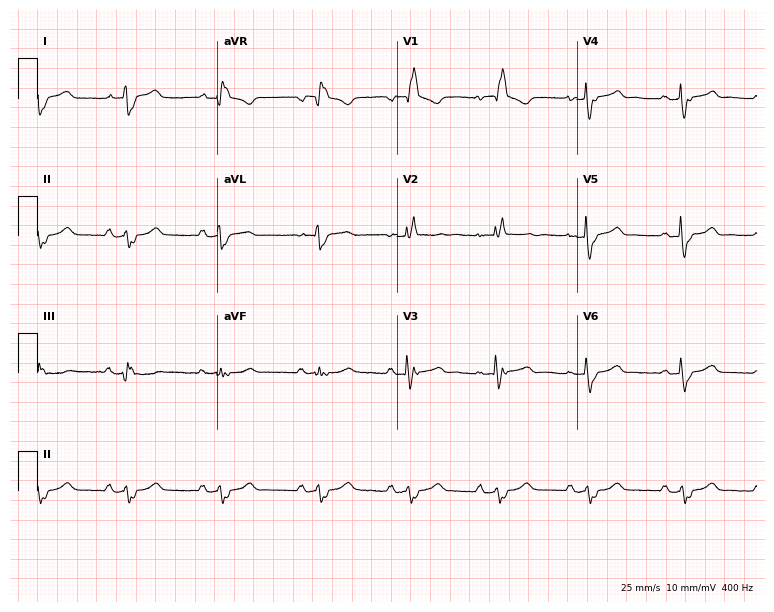
ECG — a 71-year-old female patient. Findings include right bundle branch block (RBBB).